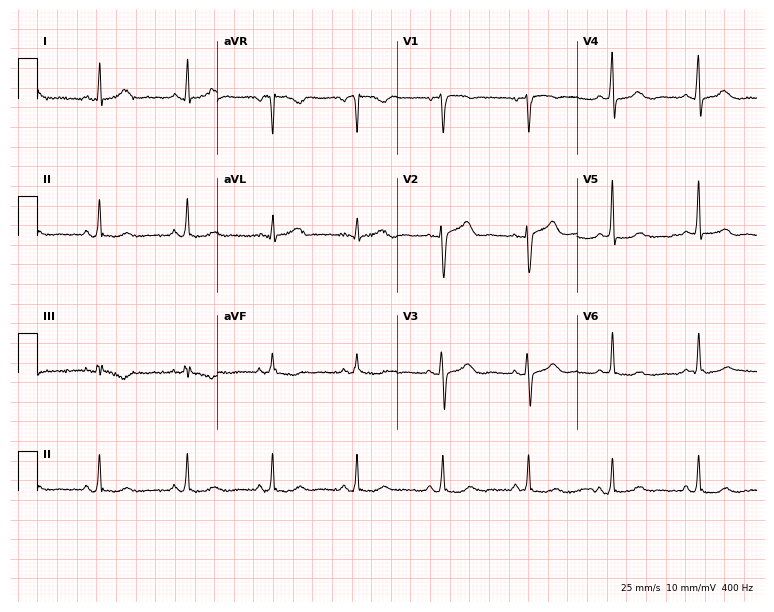
Standard 12-lead ECG recorded from a 64-year-old female patient (7.3-second recording at 400 Hz). Read as a normal ECG.